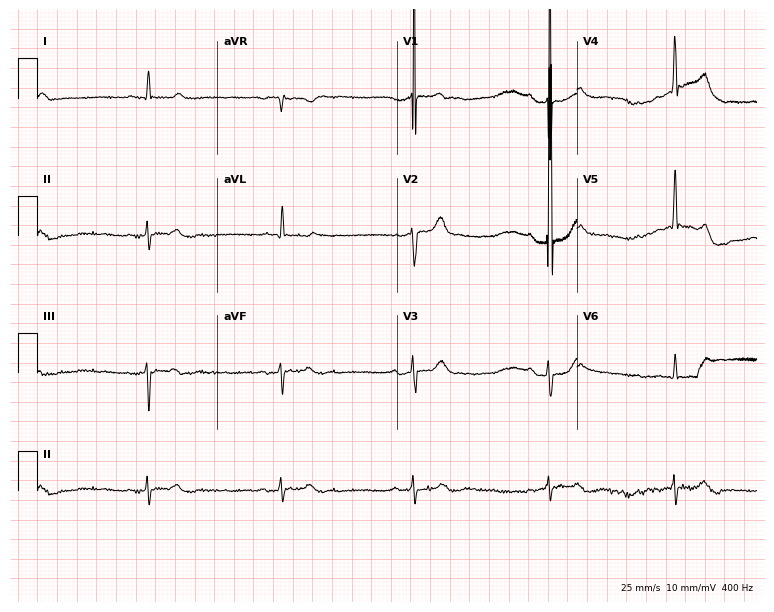
12-lead ECG from a male patient, 63 years old. No first-degree AV block, right bundle branch block (RBBB), left bundle branch block (LBBB), sinus bradycardia, atrial fibrillation (AF) or sinus tachycardia recorded for this tracing. Only these six findings were labelled.